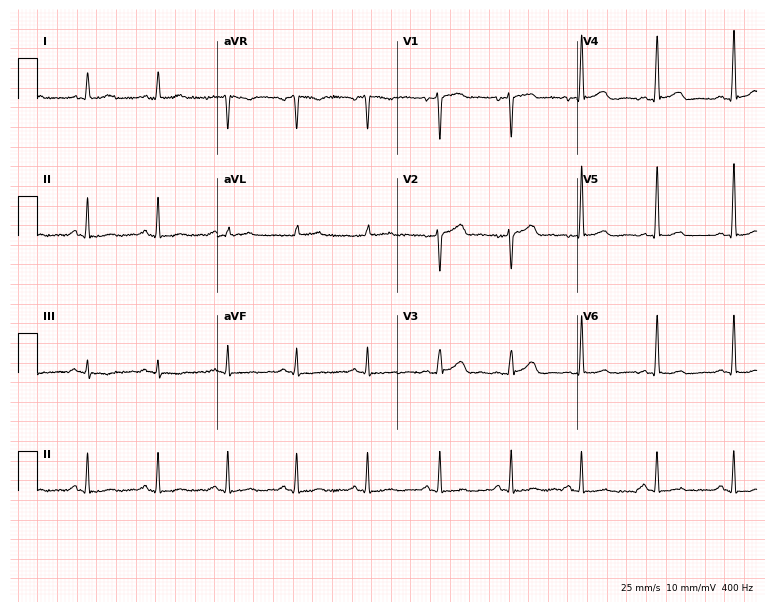
ECG — a 54-year-old man. Labelled as a normal ECG.